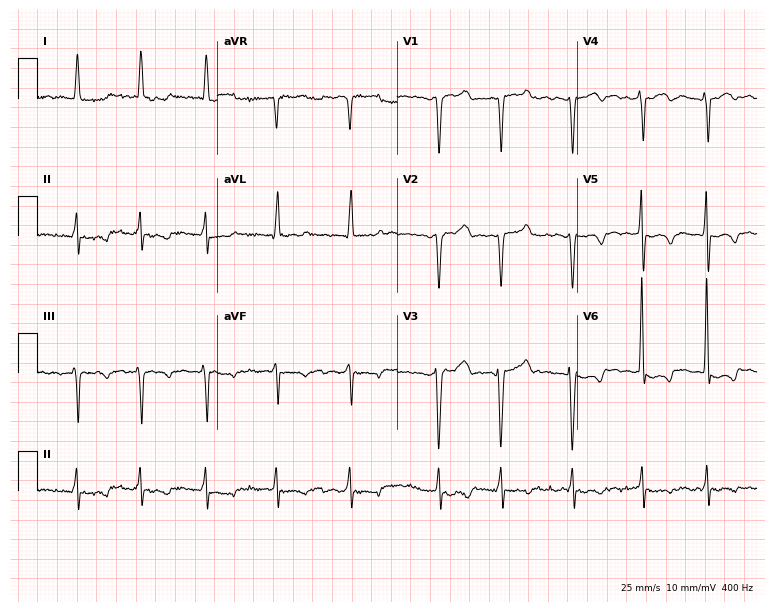
Resting 12-lead electrocardiogram (7.3-second recording at 400 Hz). Patient: a 67-year-old woman. The tracing shows atrial fibrillation (AF).